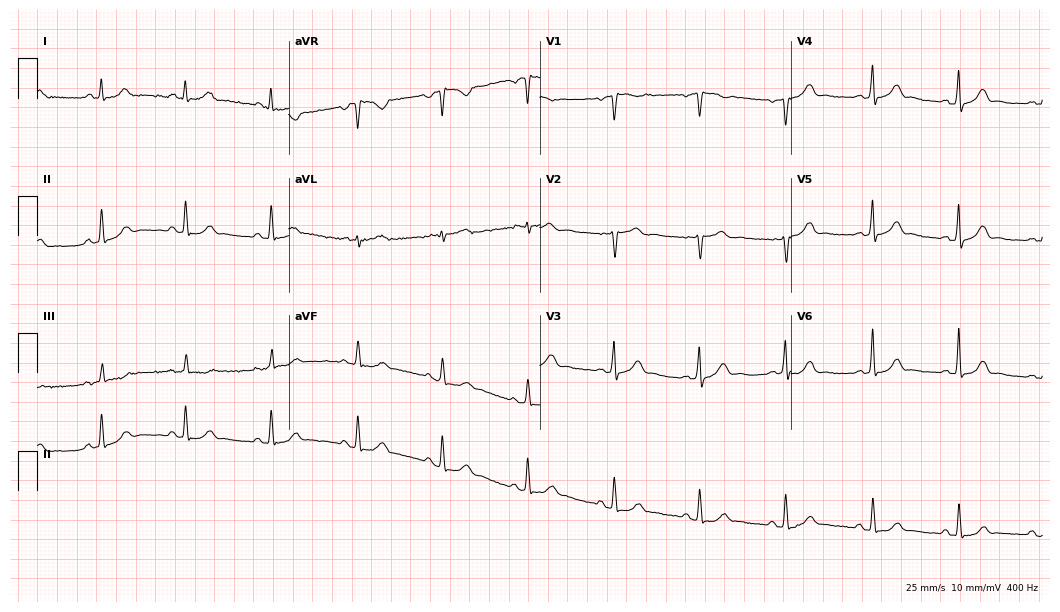
12-lead ECG from a 46-year-old male patient (10.2-second recording at 400 Hz). Recorded interpretation: within normal limits.